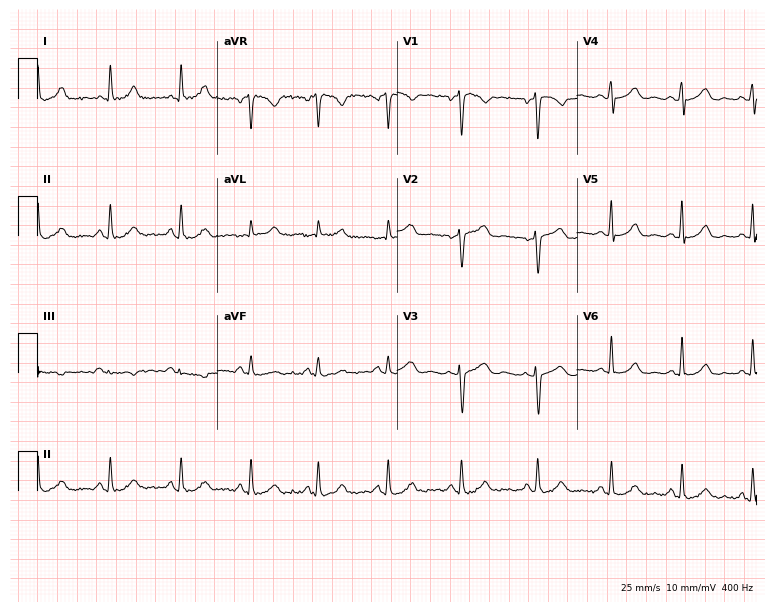
Electrocardiogram (7.3-second recording at 400 Hz), a female, 36 years old. Of the six screened findings (first-degree AV block, right bundle branch block, left bundle branch block, sinus bradycardia, atrial fibrillation, sinus tachycardia), none is recorded. Other findings, if any, are not listed.